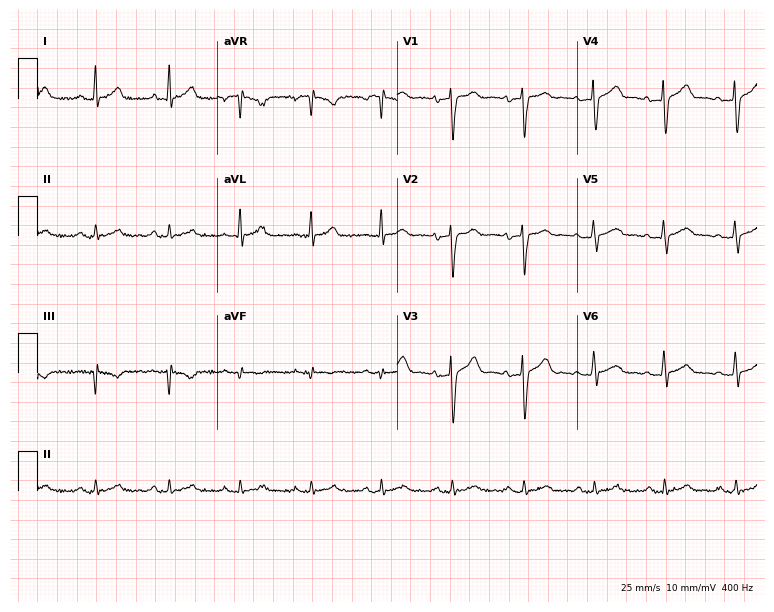
Electrocardiogram, a man, 42 years old. Of the six screened findings (first-degree AV block, right bundle branch block, left bundle branch block, sinus bradycardia, atrial fibrillation, sinus tachycardia), none is recorded. Findings outside these six are not listed.